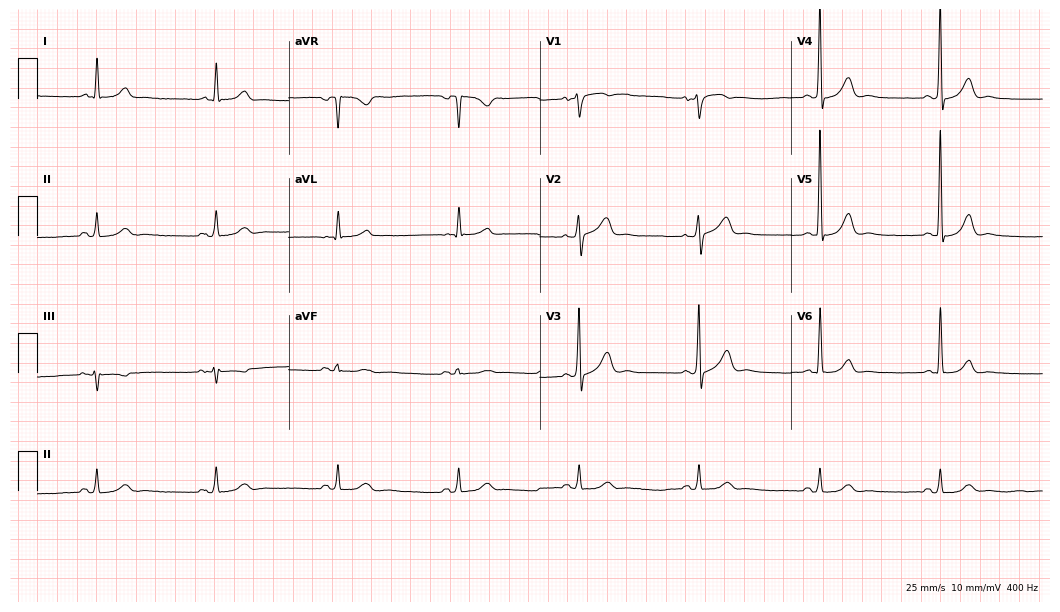
ECG — a 78-year-old man. Findings include sinus bradycardia (a sinus rate of 50 beats per minute or less).